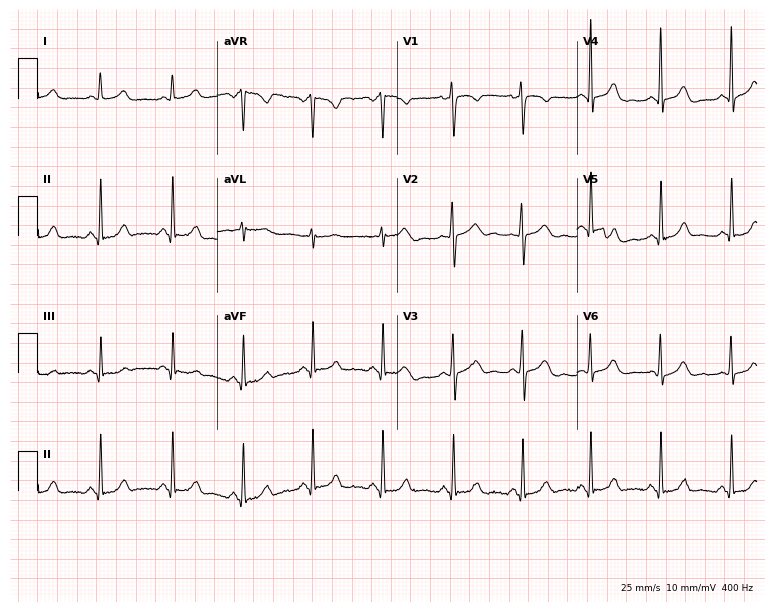
Electrocardiogram, a 25-year-old female patient. Overall reading on record: normal ECG.